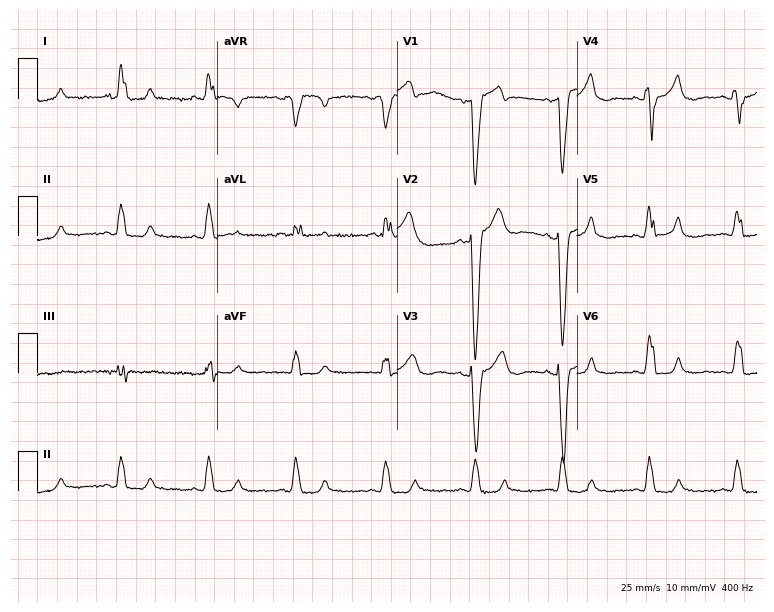
ECG — a female, 64 years old. Findings include left bundle branch block.